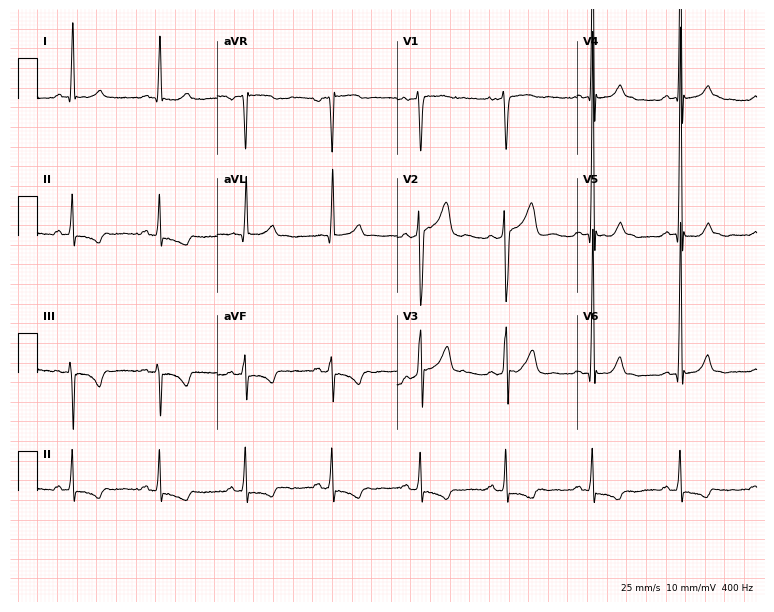
ECG — a male patient, 48 years old. Screened for six findings — first-degree AV block, right bundle branch block, left bundle branch block, sinus bradycardia, atrial fibrillation, sinus tachycardia — none is recorded.